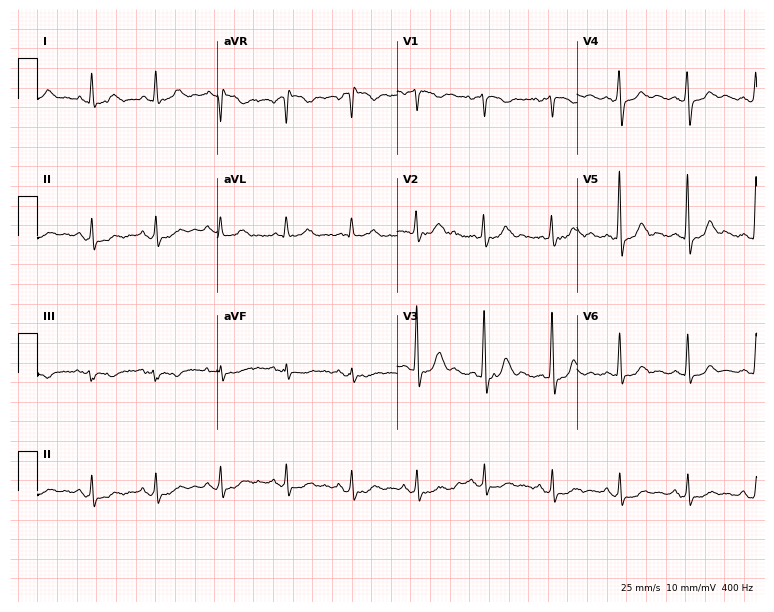
Resting 12-lead electrocardiogram (7.3-second recording at 400 Hz). Patient: a 59-year-old female. None of these six findings is recorded: first-degree AV block, right bundle branch block, left bundle branch block, sinus bradycardia, atrial fibrillation, sinus tachycardia. Other findings, if any, are not listed.